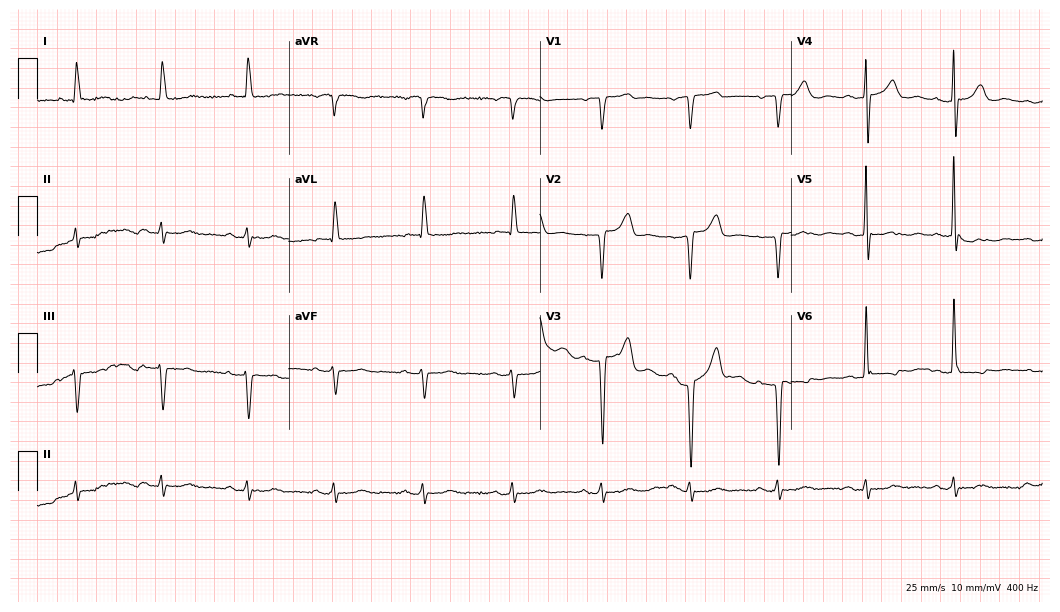
Resting 12-lead electrocardiogram. Patient: a 77-year-old male. None of these six findings is recorded: first-degree AV block, right bundle branch block (RBBB), left bundle branch block (LBBB), sinus bradycardia, atrial fibrillation (AF), sinus tachycardia. Only these six findings were labelled.